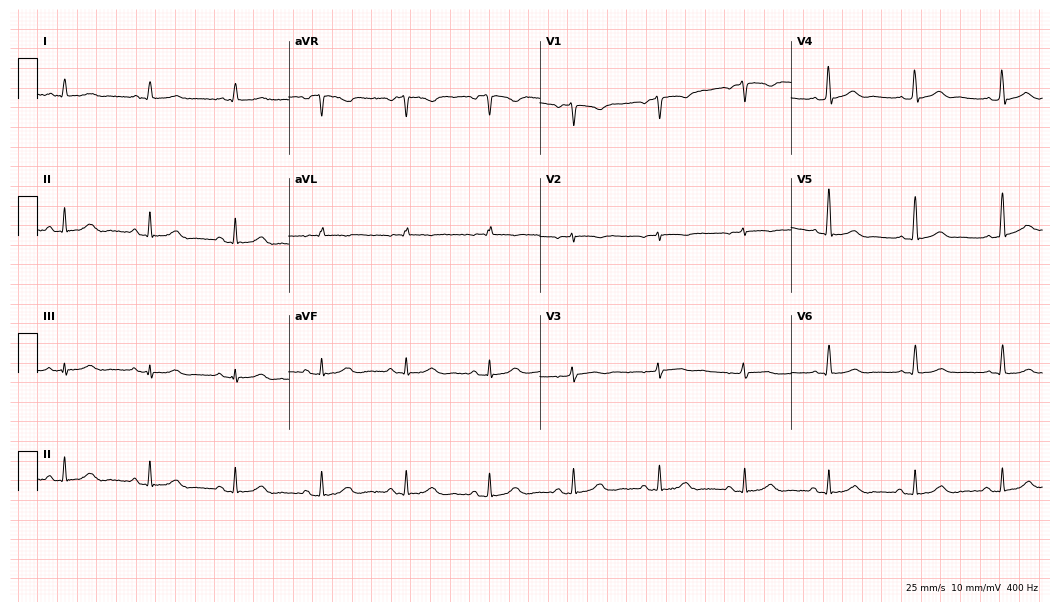
12-lead ECG (10.2-second recording at 400 Hz) from a man, 71 years old. Screened for six findings — first-degree AV block, right bundle branch block (RBBB), left bundle branch block (LBBB), sinus bradycardia, atrial fibrillation (AF), sinus tachycardia — none is recorded. Only these six findings were labelled.